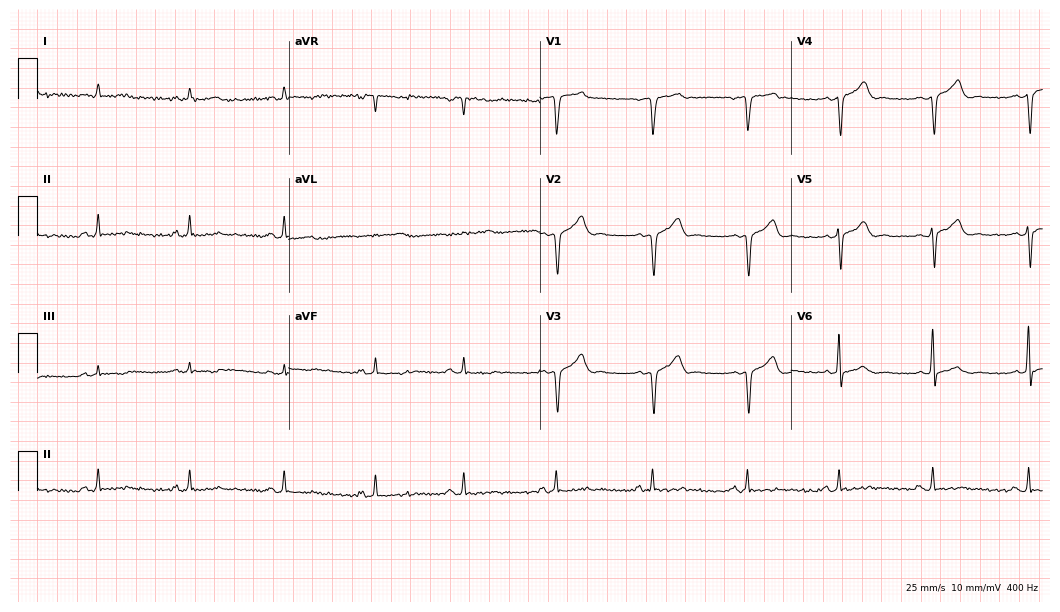
ECG — a 37-year-old man. Screened for six findings — first-degree AV block, right bundle branch block (RBBB), left bundle branch block (LBBB), sinus bradycardia, atrial fibrillation (AF), sinus tachycardia — none is recorded.